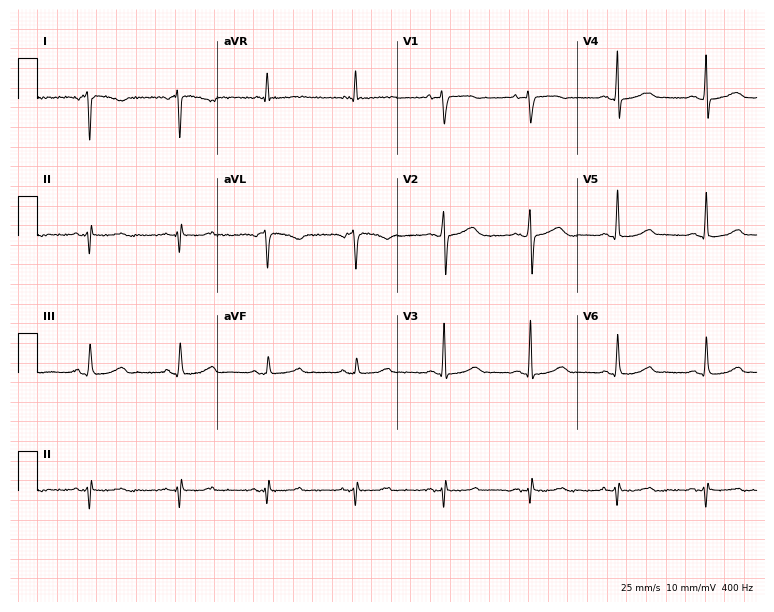
12-lead ECG from a female, 57 years old. No first-degree AV block, right bundle branch block, left bundle branch block, sinus bradycardia, atrial fibrillation or sinus tachycardia recorded for this tracing. Findings outside these six are not listed.